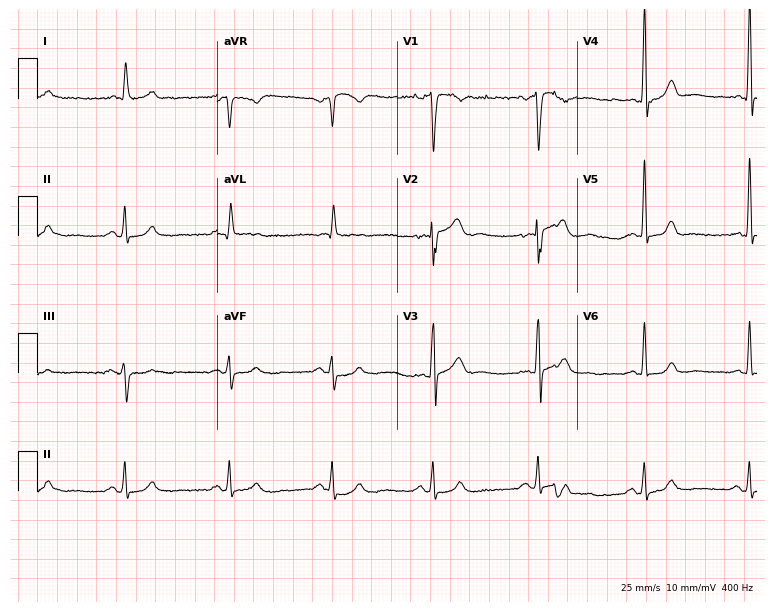
12-lead ECG from a 72-year-old male (7.3-second recording at 400 Hz). No first-degree AV block, right bundle branch block, left bundle branch block, sinus bradycardia, atrial fibrillation or sinus tachycardia recorded for this tracing. Other findings, if any, are not listed.